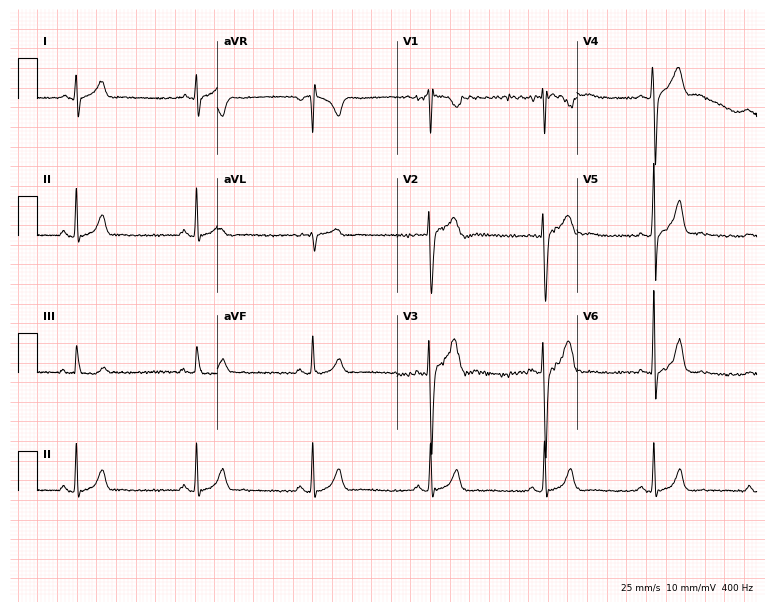
Electrocardiogram, a 28-year-old woman. Of the six screened findings (first-degree AV block, right bundle branch block, left bundle branch block, sinus bradycardia, atrial fibrillation, sinus tachycardia), none is recorded.